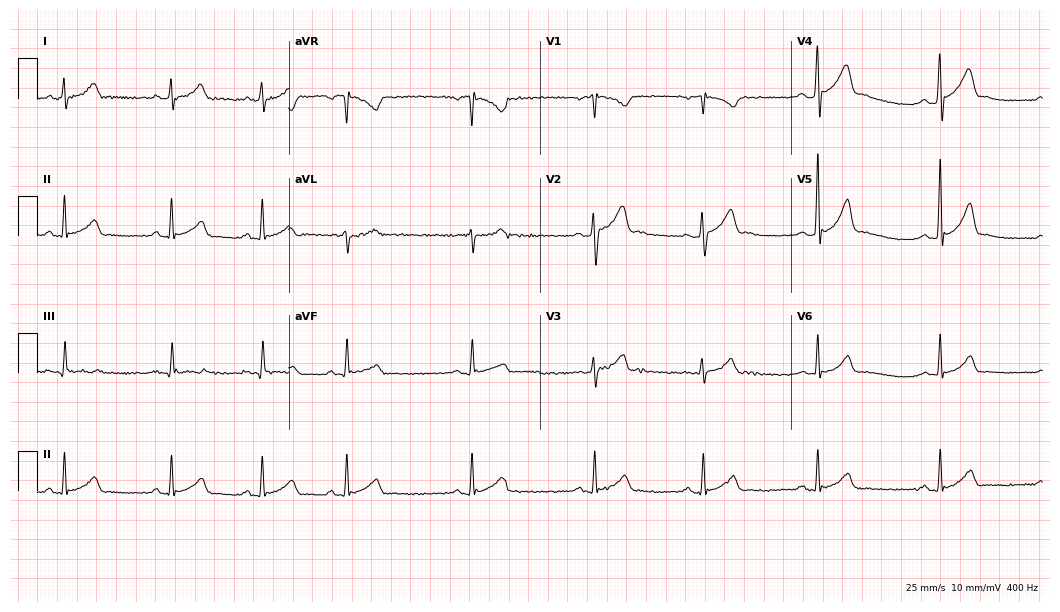
ECG (10.2-second recording at 400 Hz) — a man, 21 years old. Screened for six findings — first-degree AV block, right bundle branch block, left bundle branch block, sinus bradycardia, atrial fibrillation, sinus tachycardia — none is recorded.